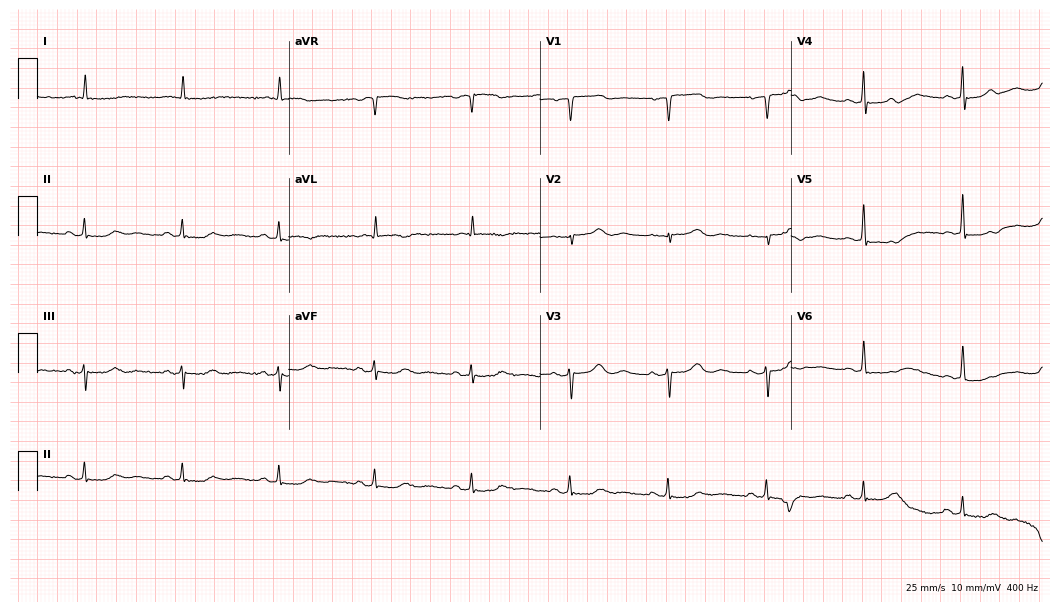
ECG (10.2-second recording at 400 Hz) — an 84-year-old female. Screened for six findings — first-degree AV block, right bundle branch block (RBBB), left bundle branch block (LBBB), sinus bradycardia, atrial fibrillation (AF), sinus tachycardia — none is recorded.